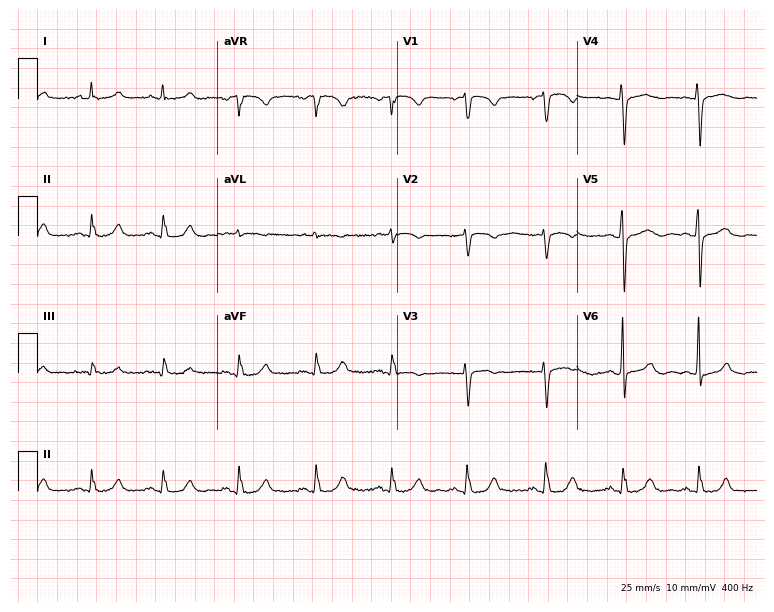
ECG — a 70-year-old female patient. Labelled as a normal ECG.